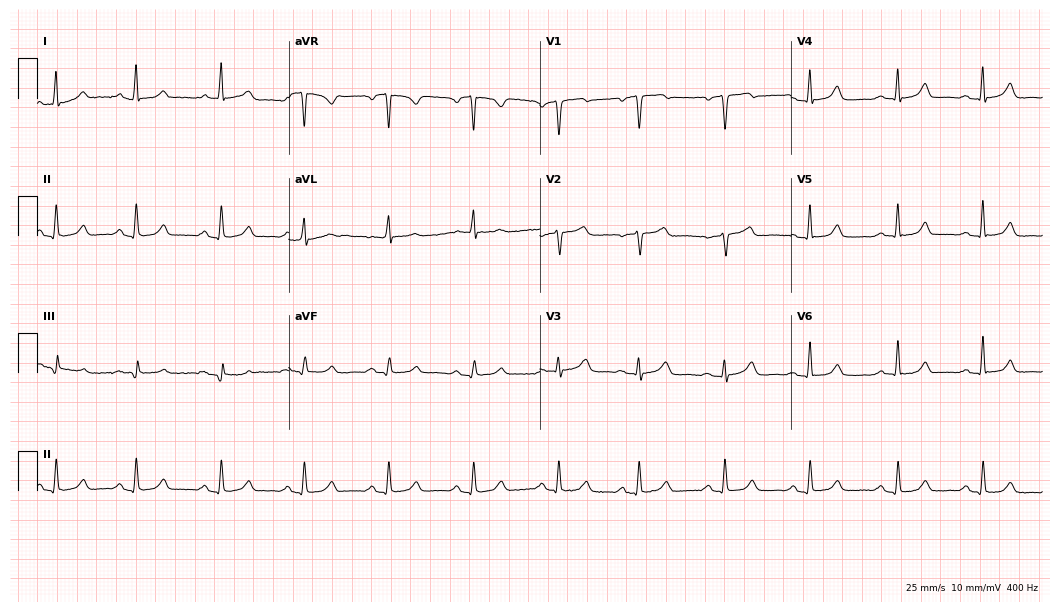
Electrocardiogram (10.2-second recording at 400 Hz), a female patient, 56 years old. Overall reading on record: normal ECG.